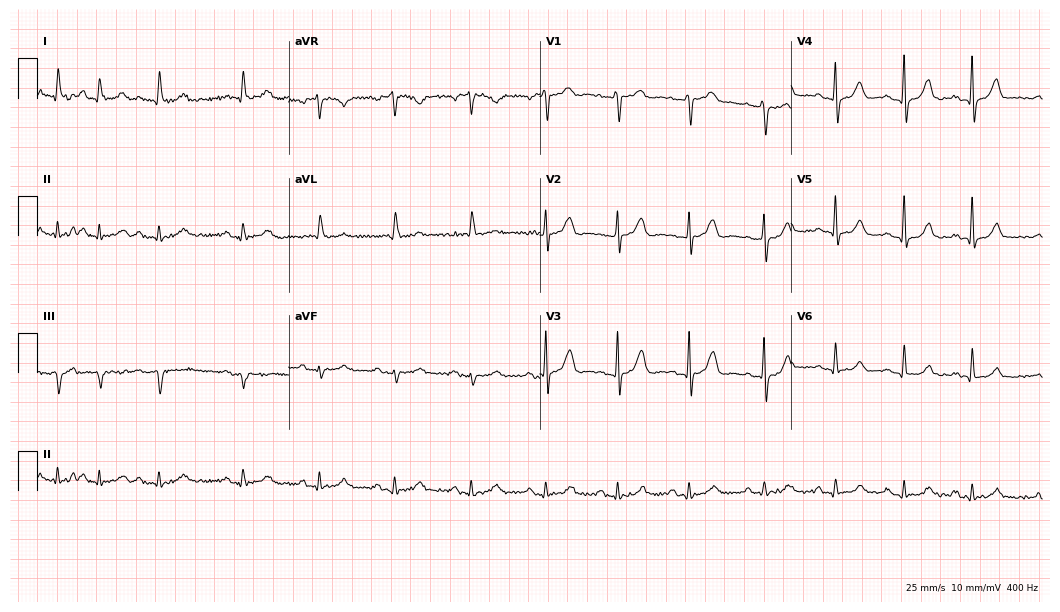
12-lead ECG from a female, 82 years old (10.2-second recording at 400 Hz). No first-degree AV block, right bundle branch block (RBBB), left bundle branch block (LBBB), sinus bradycardia, atrial fibrillation (AF) or sinus tachycardia recorded for this tracing. Only these six findings were labelled.